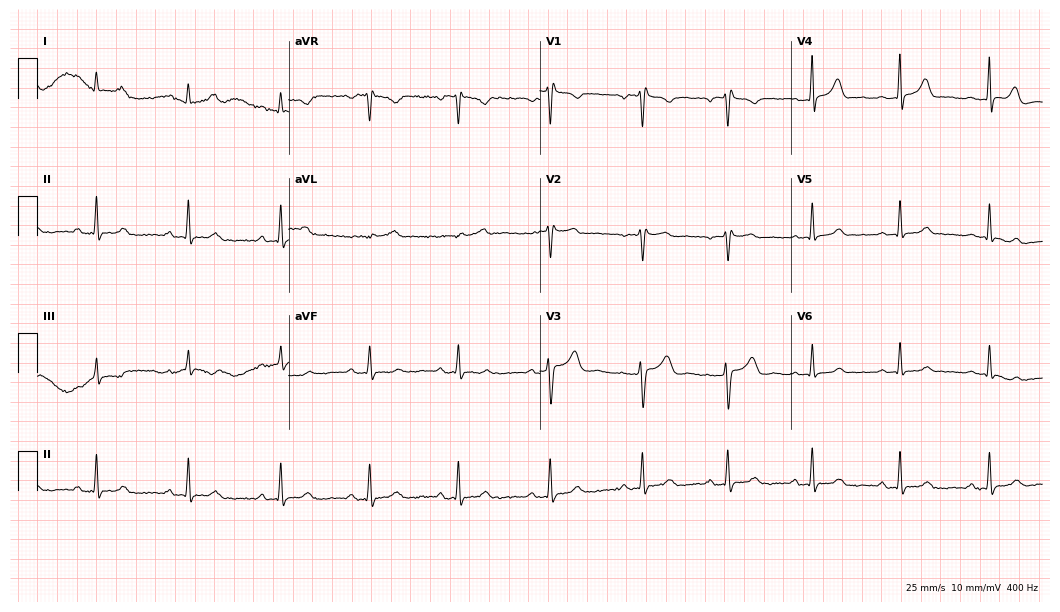
Electrocardiogram (10.2-second recording at 400 Hz), a woman, 37 years old. Of the six screened findings (first-degree AV block, right bundle branch block (RBBB), left bundle branch block (LBBB), sinus bradycardia, atrial fibrillation (AF), sinus tachycardia), none is recorded. Only these six findings were labelled.